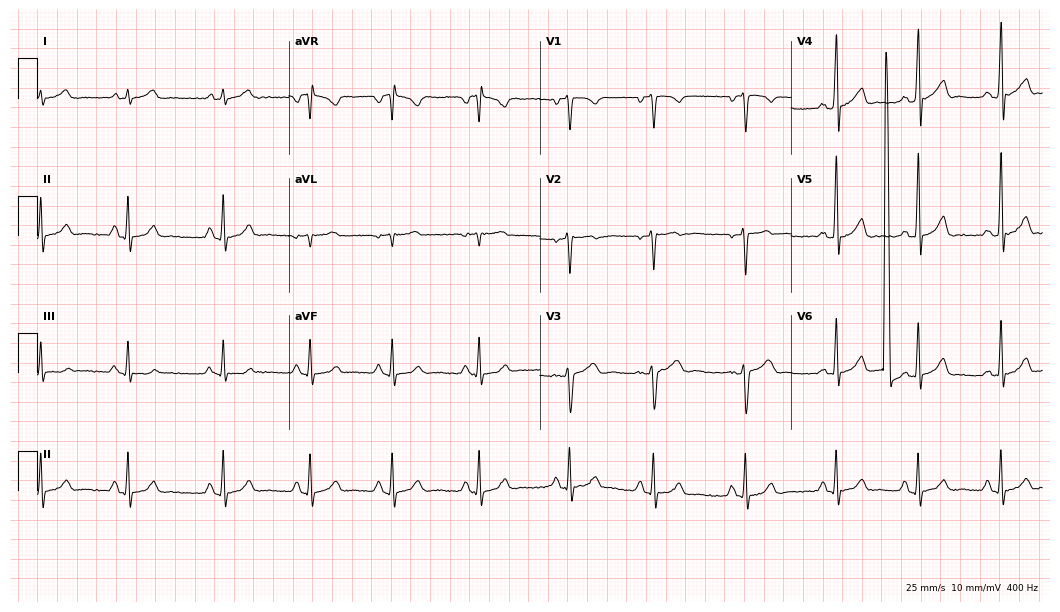
12-lead ECG from a male patient, 22 years old. Labelled as a normal ECG.